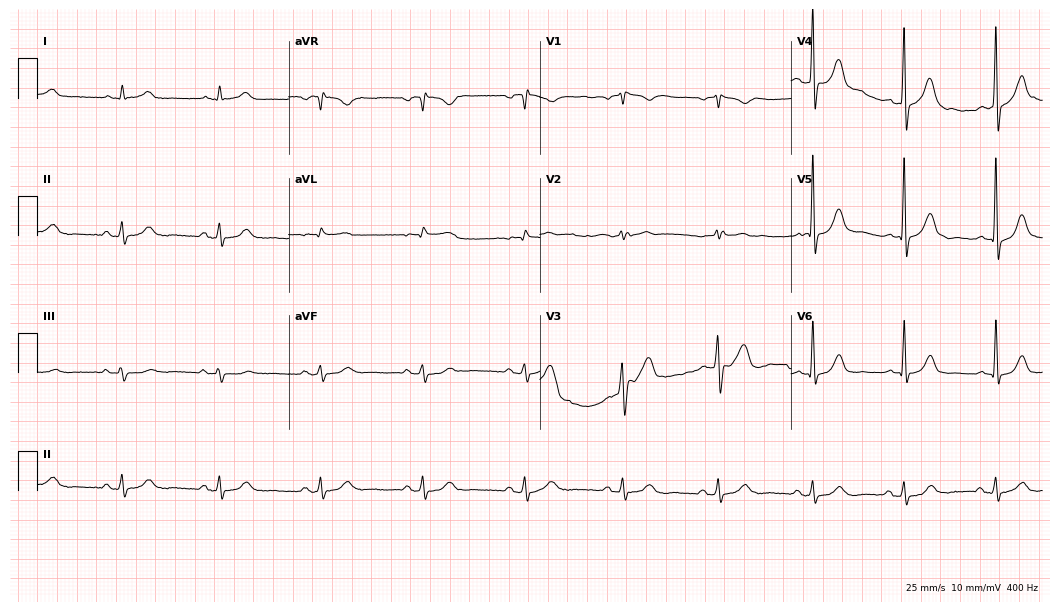
12-lead ECG from a man, 72 years old (10.2-second recording at 400 Hz). No first-degree AV block, right bundle branch block, left bundle branch block, sinus bradycardia, atrial fibrillation or sinus tachycardia recorded for this tracing.